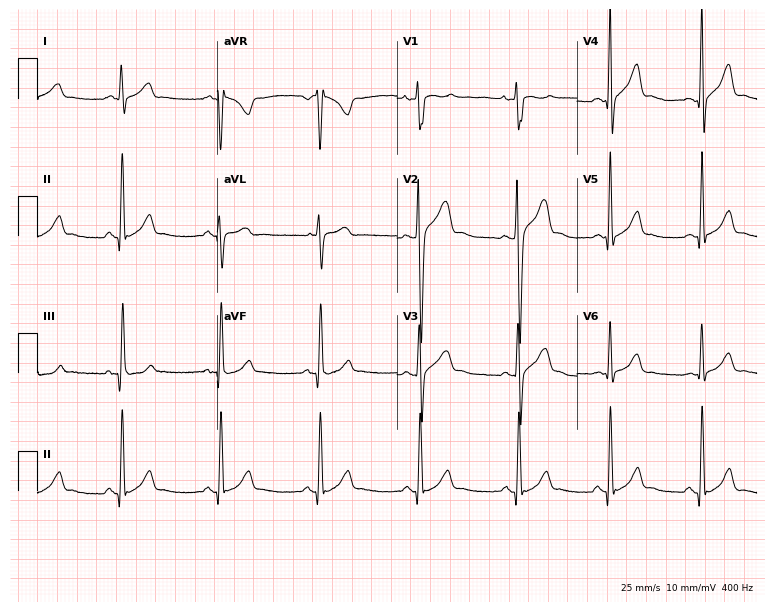
12-lead ECG from a man, 31 years old. Recorded interpretation: within normal limits.